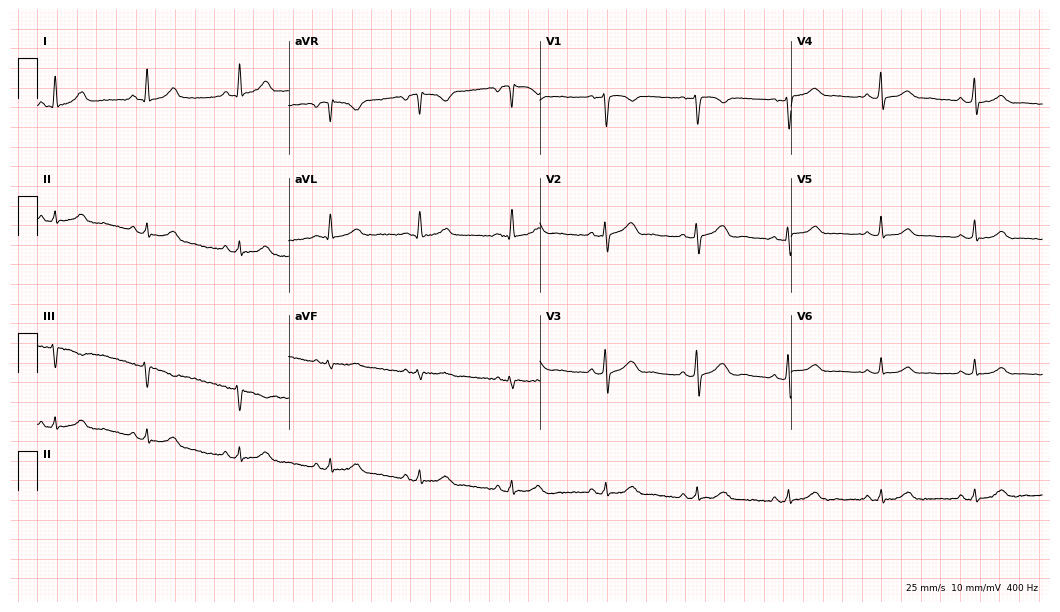
12-lead ECG (10.2-second recording at 400 Hz) from a female patient, 53 years old. Screened for six findings — first-degree AV block, right bundle branch block (RBBB), left bundle branch block (LBBB), sinus bradycardia, atrial fibrillation (AF), sinus tachycardia — none is recorded.